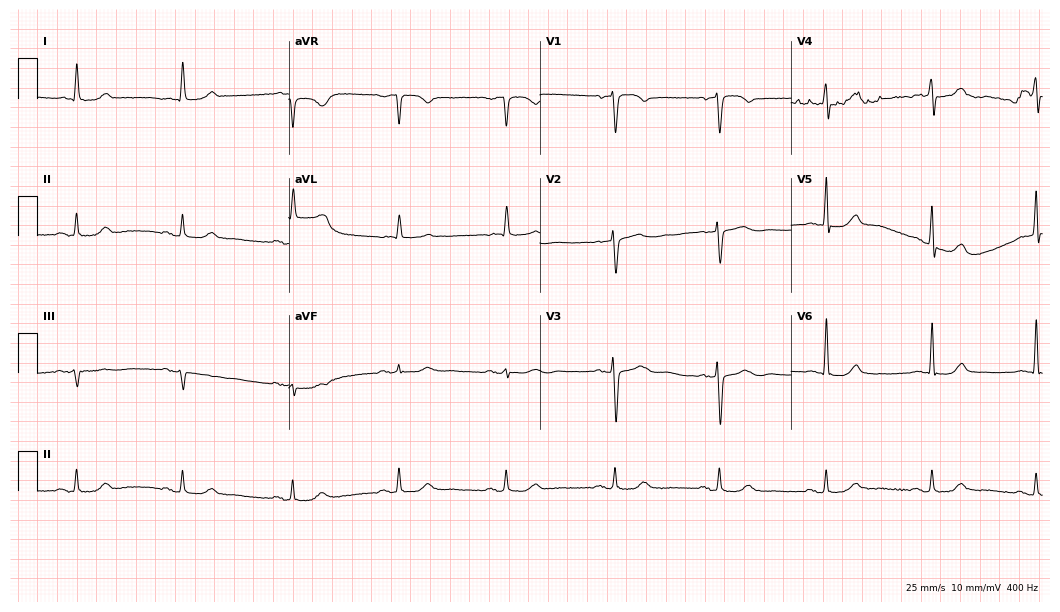
Resting 12-lead electrocardiogram (10.2-second recording at 400 Hz). Patient: a 76-year-old female. Read as a normal ECG.